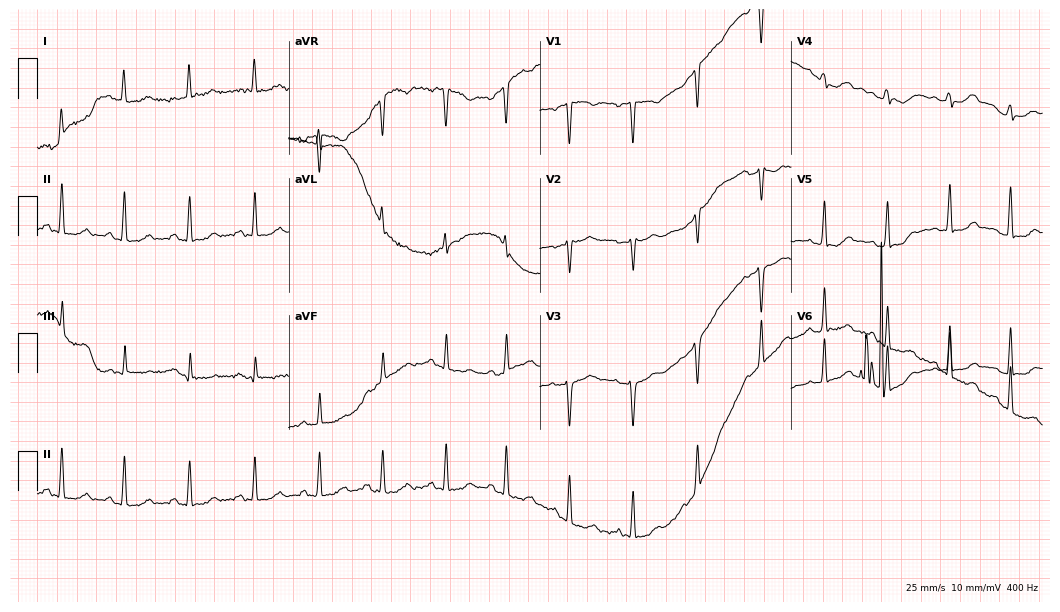
Electrocardiogram, a 46-year-old woman. Of the six screened findings (first-degree AV block, right bundle branch block (RBBB), left bundle branch block (LBBB), sinus bradycardia, atrial fibrillation (AF), sinus tachycardia), none is recorded. Findings outside these six are not listed.